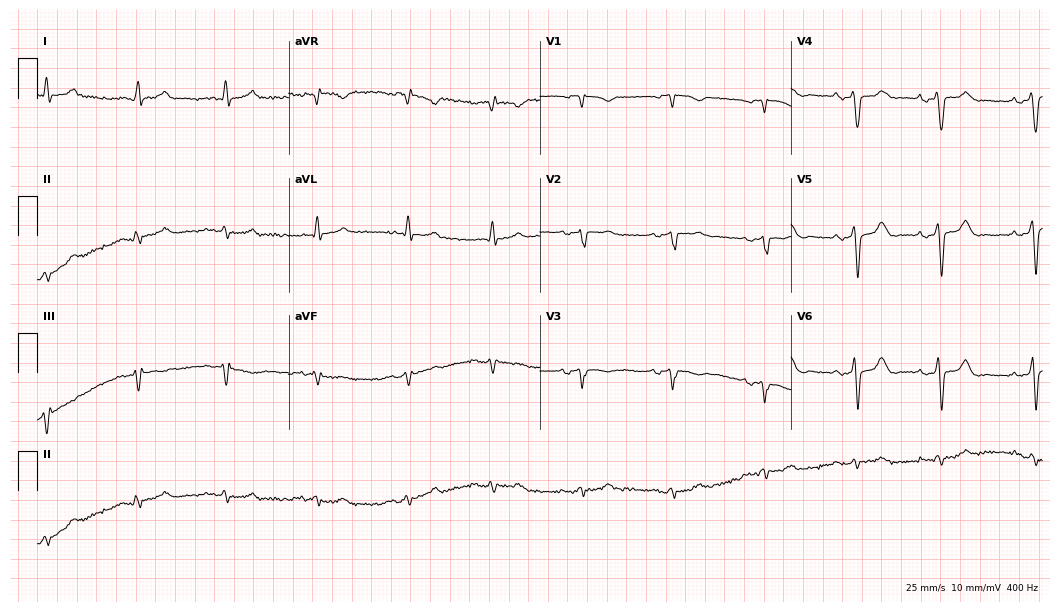
Resting 12-lead electrocardiogram. Patient: an 83-year-old female. None of these six findings is recorded: first-degree AV block, right bundle branch block, left bundle branch block, sinus bradycardia, atrial fibrillation, sinus tachycardia. Other findings, if any, are not listed.